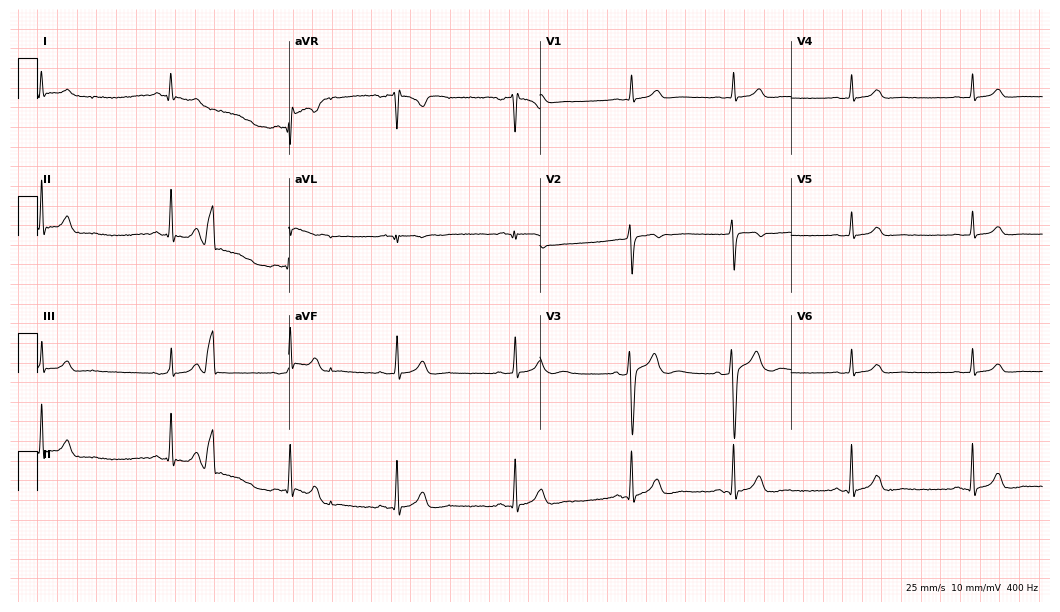
Standard 12-lead ECG recorded from a male patient, 31 years old (10.2-second recording at 400 Hz). Read as a normal ECG.